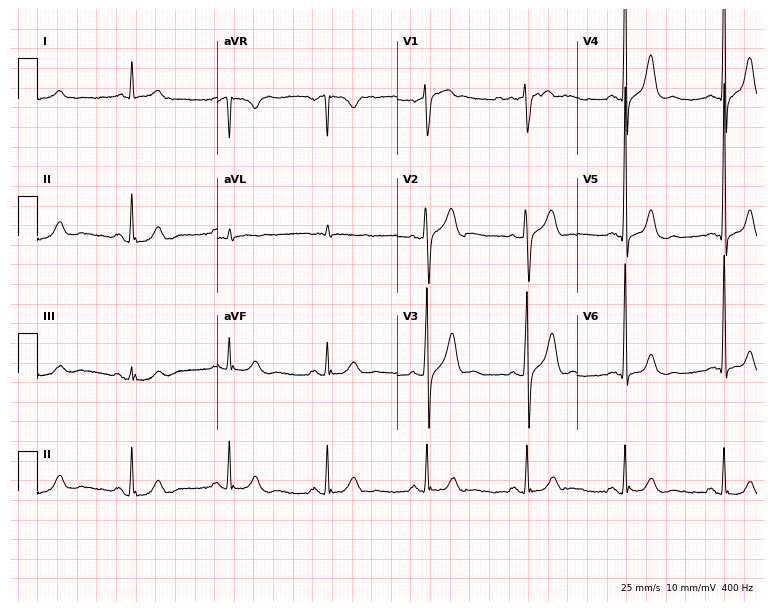
12-lead ECG (7.3-second recording at 400 Hz) from a 52-year-old man. Labelled as a normal ECG.